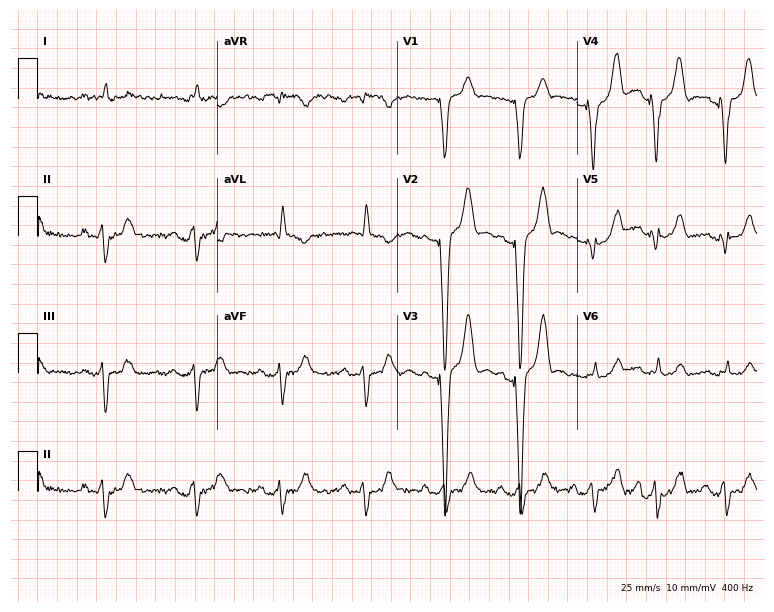
12-lead ECG from a female patient, 56 years old. No first-degree AV block, right bundle branch block, left bundle branch block, sinus bradycardia, atrial fibrillation or sinus tachycardia recorded for this tracing. Findings outside these six are not listed.